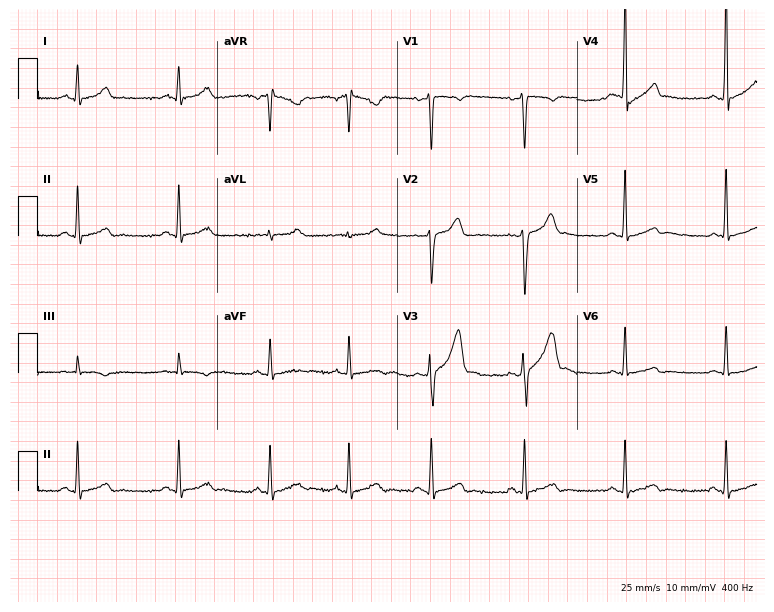
12-lead ECG (7.3-second recording at 400 Hz) from a 35-year-old male. Labelled as a normal ECG.